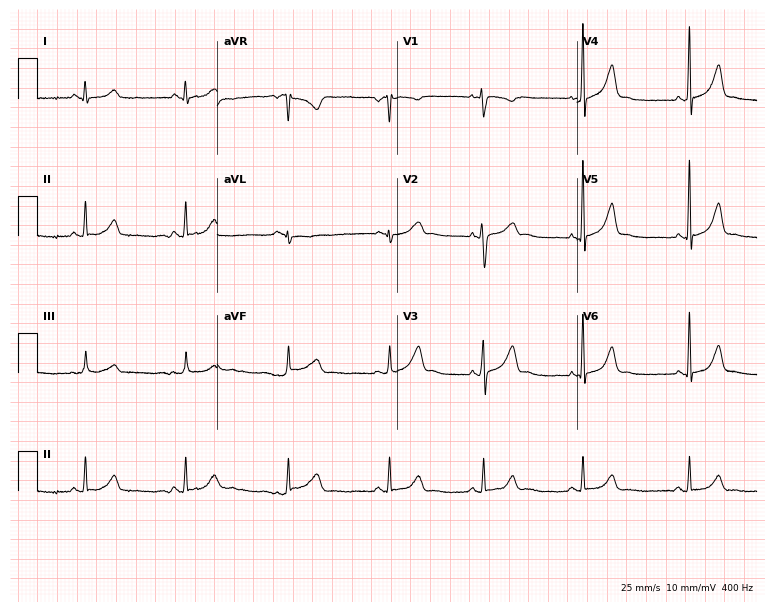
ECG (7.3-second recording at 400 Hz) — a woman, 24 years old. Labelled as a normal ECG.